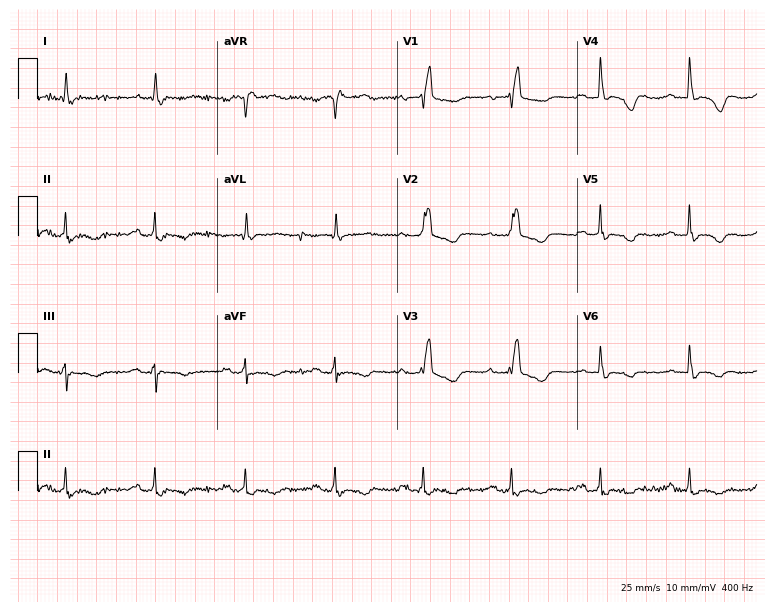
ECG — a 74-year-old woman. Findings include right bundle branch block.